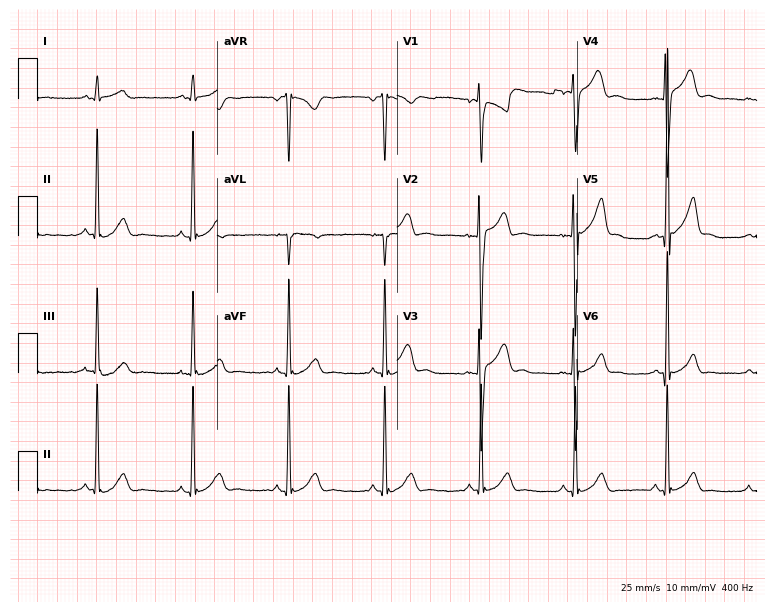
Resting 12-lead electrocardiogram (7.3-second recording at 400 Hz). Patient: a 22-year-old male. Read as a normal ECG.